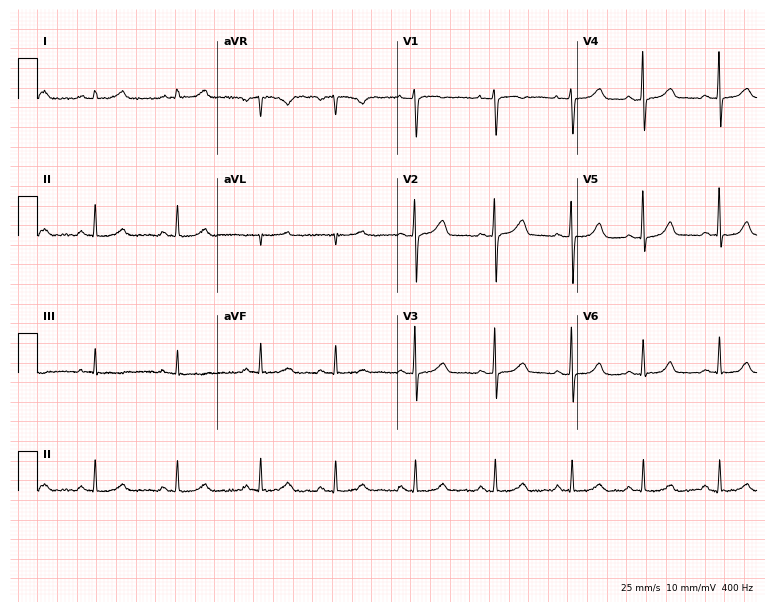
ECG (7.3-second recording at 400 Hz) — a 35-year-old woman. Labelled as a normal ECG.